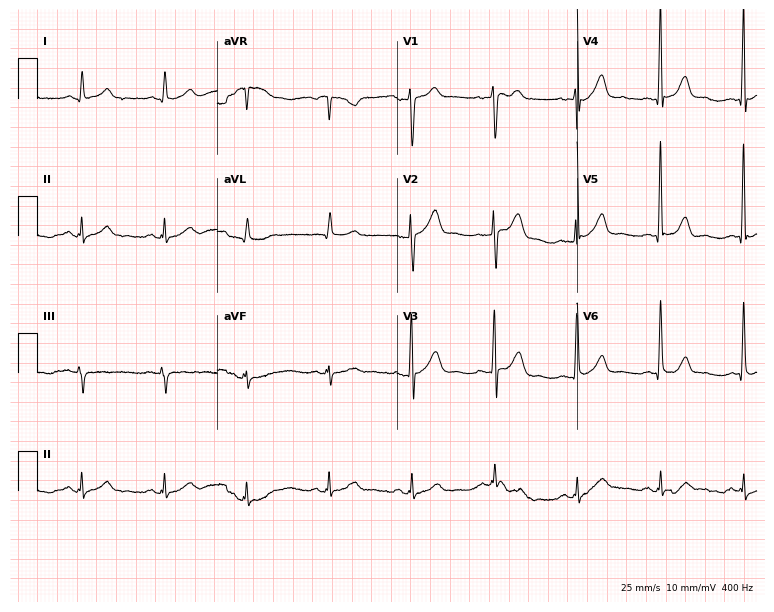
Electrocardiogram (7.3-second recording at 400 Hz), a 53-year-old male. Of the six screened findings (first-degree AV block, right bundle branch block, left bundle branch block, sinus bradycardia, atrial fibrillation, sinus tachycardia), none is recorded. Other findings, if any, are not listed.